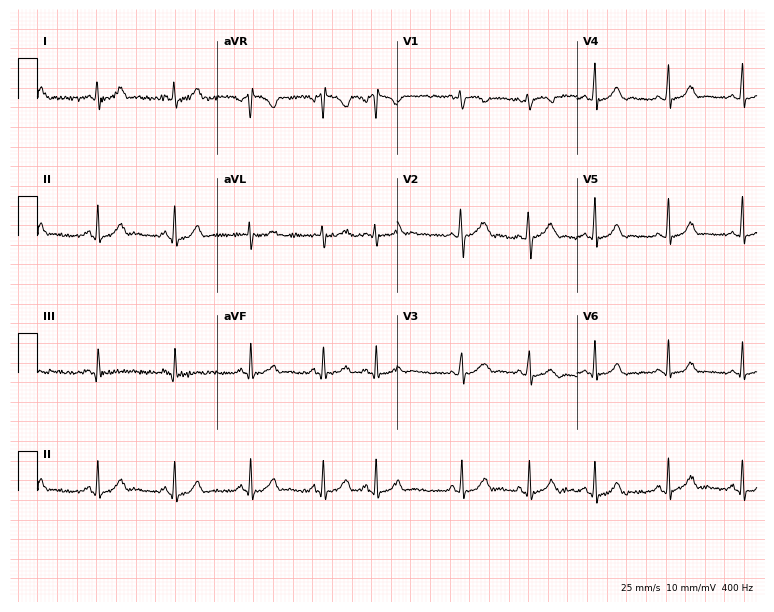
ECG (7.3-second recording at 400 Hz) — a 21-year-old female patient. Labelled as a normal ECG.